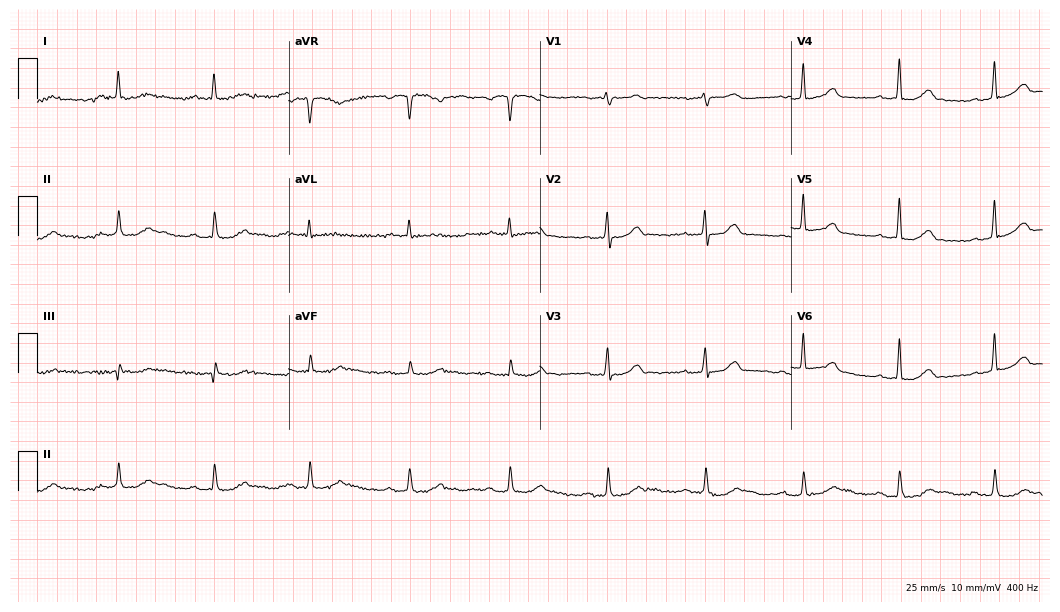
Electrocardiogram, a male, 52 years old. Overall reading on record: normal ECG.